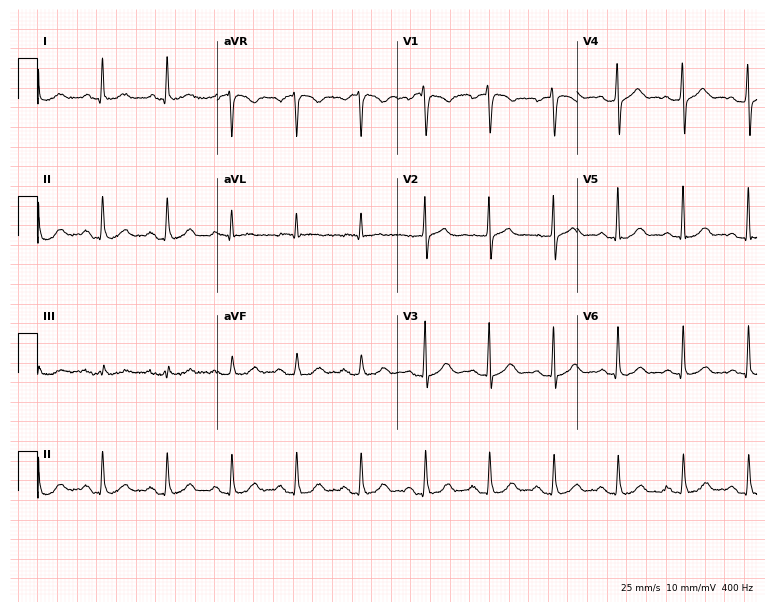
Standard 12-lead ECG recorded from a male patient, 84 years old. Read as a normal ECG.